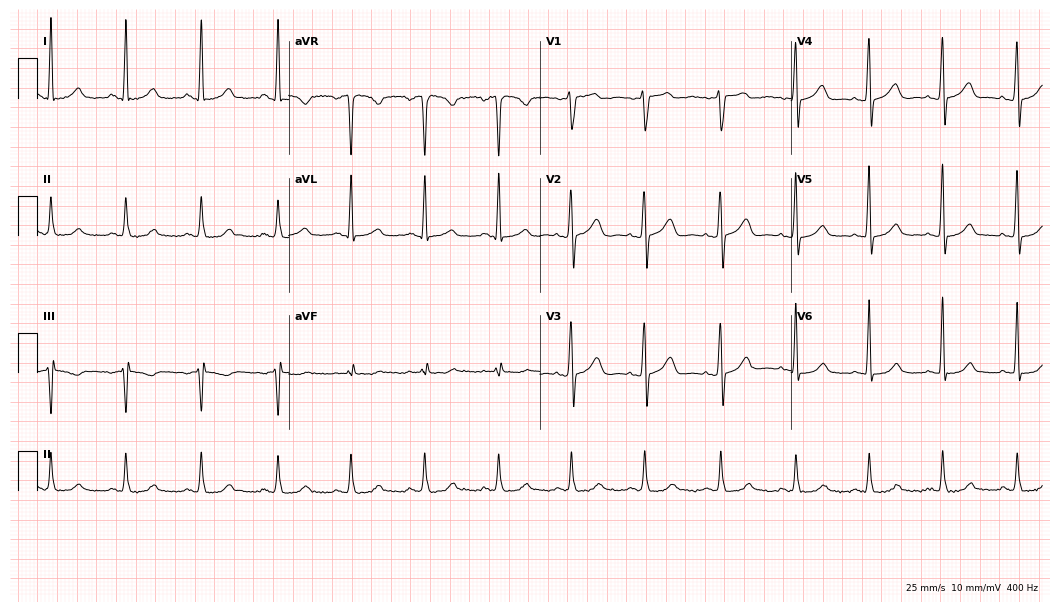
Standard 12-lead ECG recorded from a 24-year-old female. Read as a normal ECG.